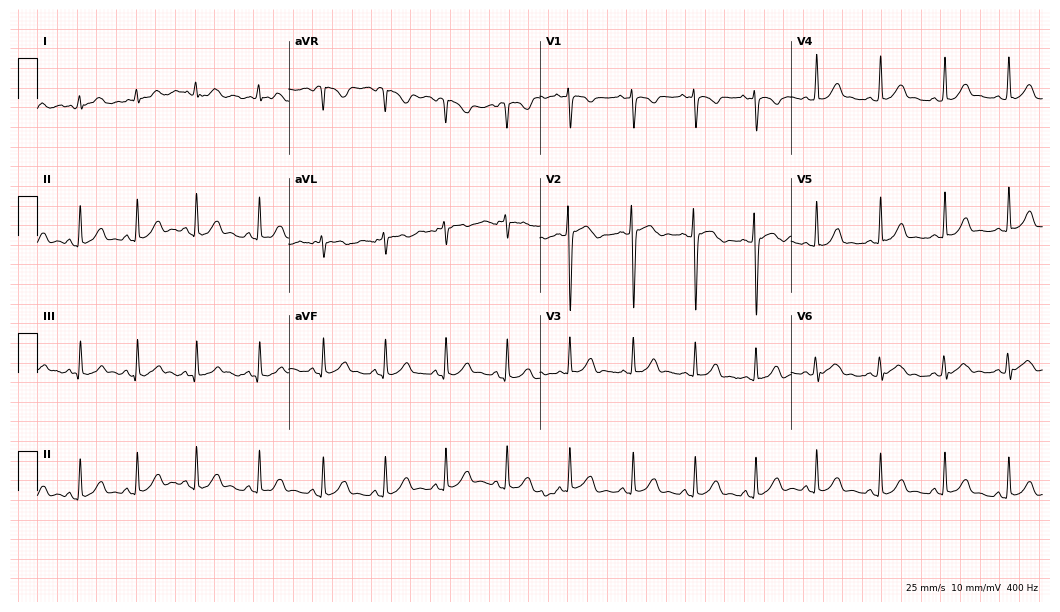
Standard 12-lead ECG recorded from a woman, 21 years old. Read as a normal ECG.